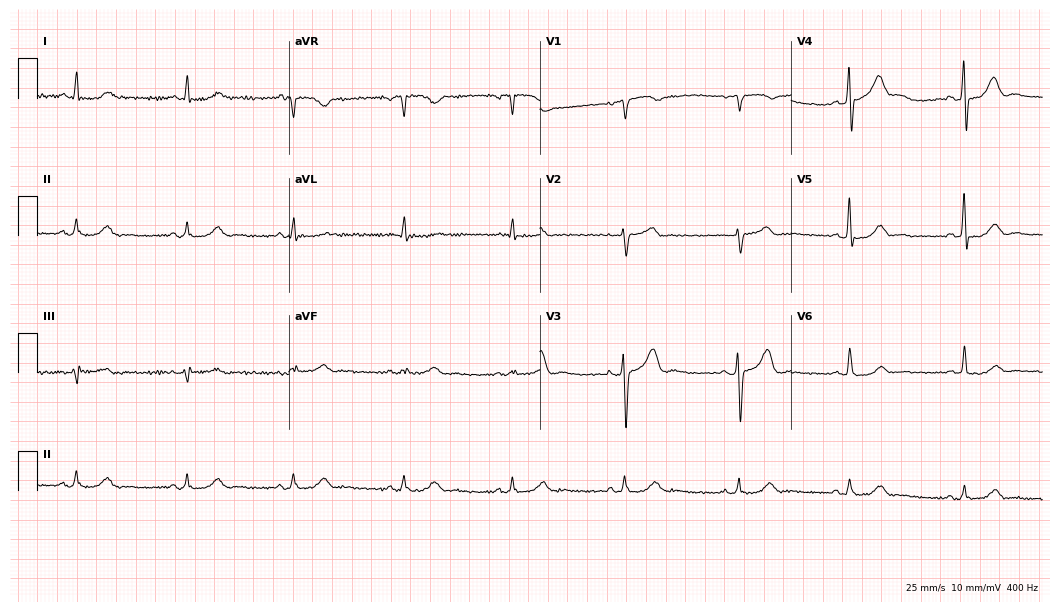
ECG (10.2-second recording at 400 Hz) — a man, 58 years old. Screened for six findings — first-degree AV block, right bundle branch block, left bundle branch block, sinus bradycardia, atrial fibrillation, sinus tachycardia — none is recorded. Only these six findings were labelled.